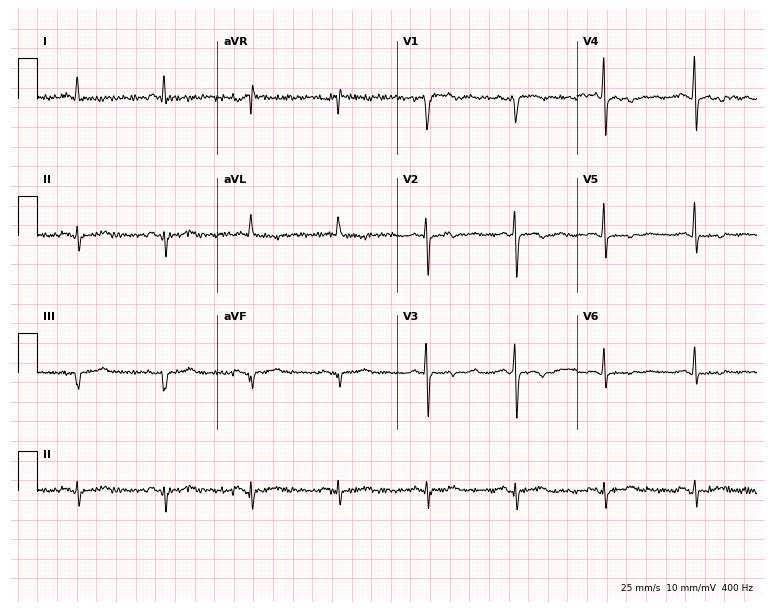
12-lead ECG from a male patient, 71 years old. No first-degree AV block, right bundle branch block (RBBB), left bundle branch block (LBBB), sinus bradycardia, atrial fibrillation (AF) or sinus tachycardia recorded for this tracing.